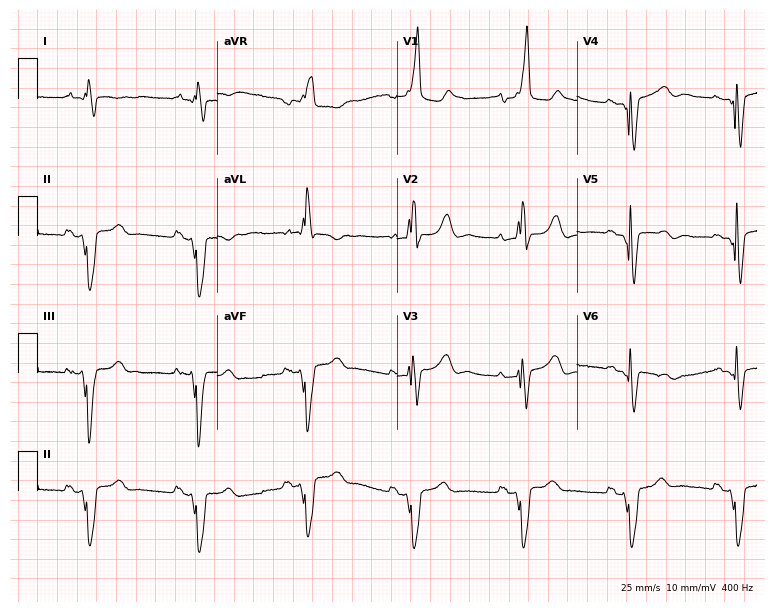
ECG (7.3-second recording at 400 Hz) — a 56-year-old male patient. Findings include right bundle branch block.